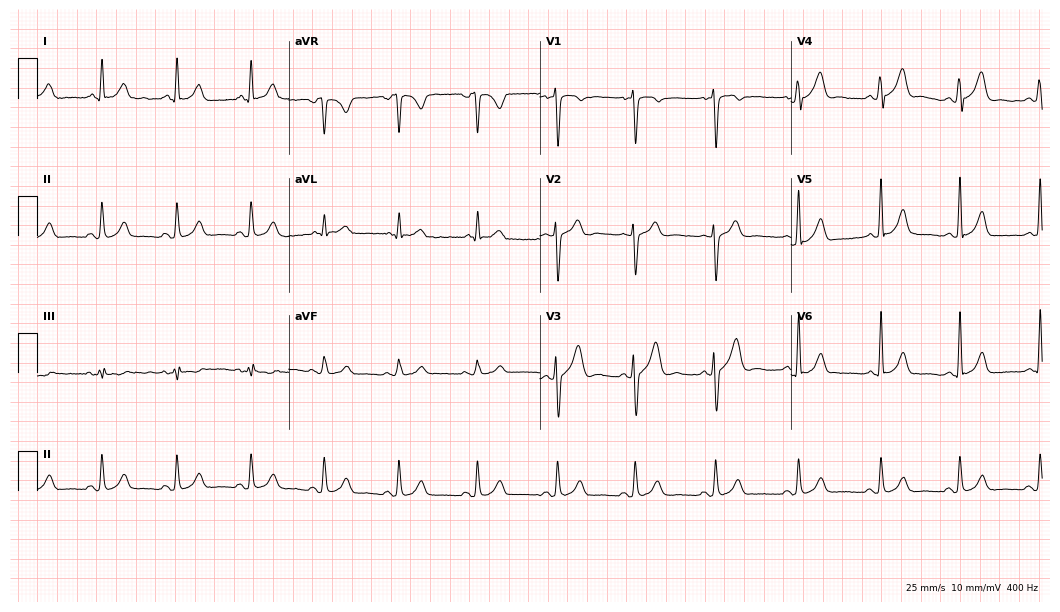
Resting 12-lead electrocardiogram (10.2-second recording at 400 Hz). Patient: a male, 32 years old. Read as a normal ECG.